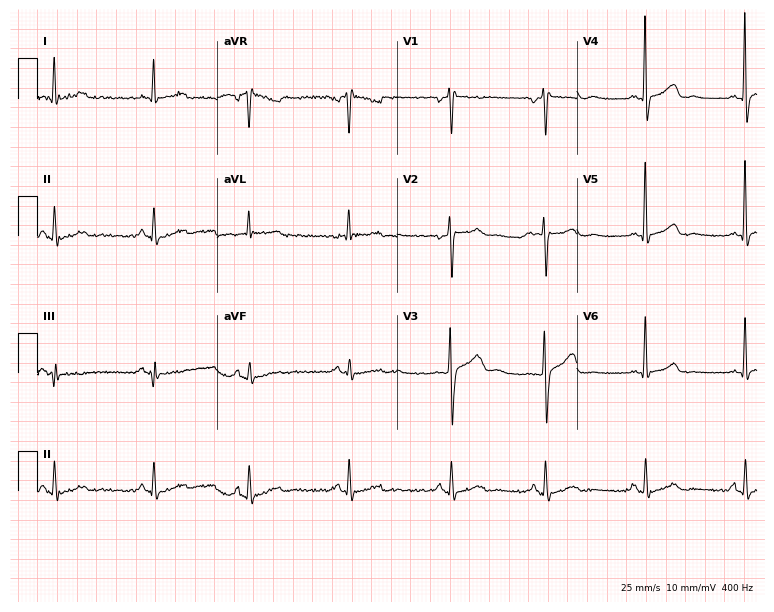
12-lead ECG from a man, 51 years old (7.3-second recording at 400 Hz). Recorded interpretation: within normal limits.